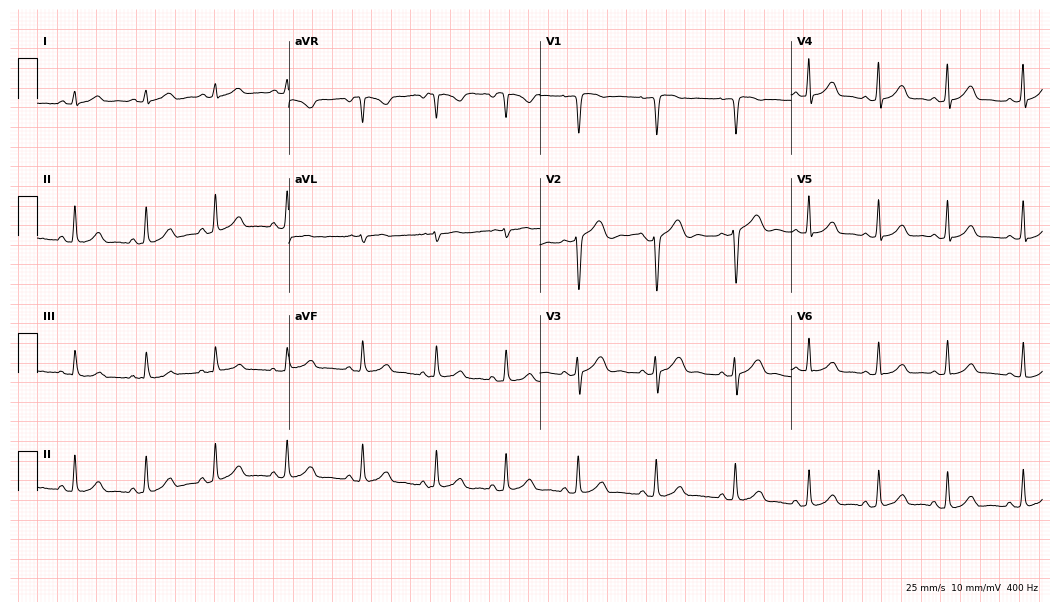
ECG (10.2-second recording at 400 Hz) — a female, 27 years old. Labelled as a normal ECG.